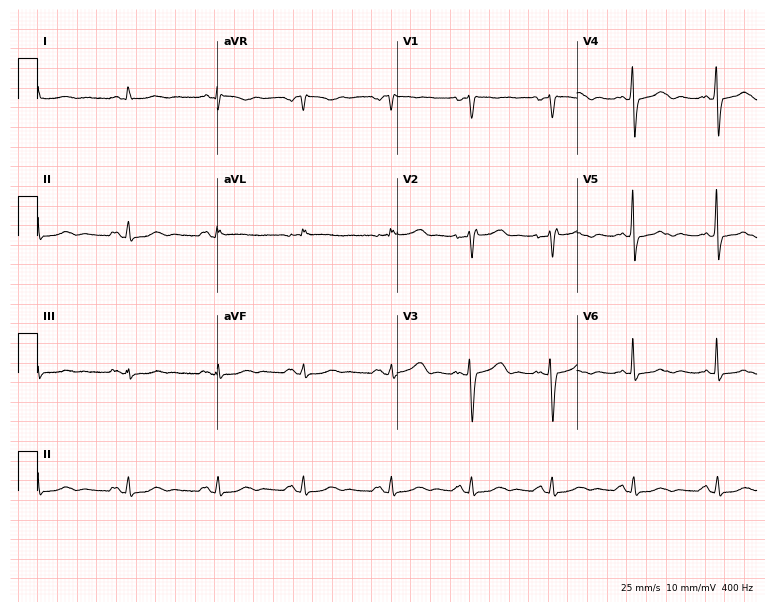
Resting 12-lead electrocardiogram. Patient: a 50-year-old female. None of these six findings is recorded: first-degree AV block, right bundle branch block, left bundle branch block, sinus bradycardia, atrial fibrillation, sinus tachycardia.